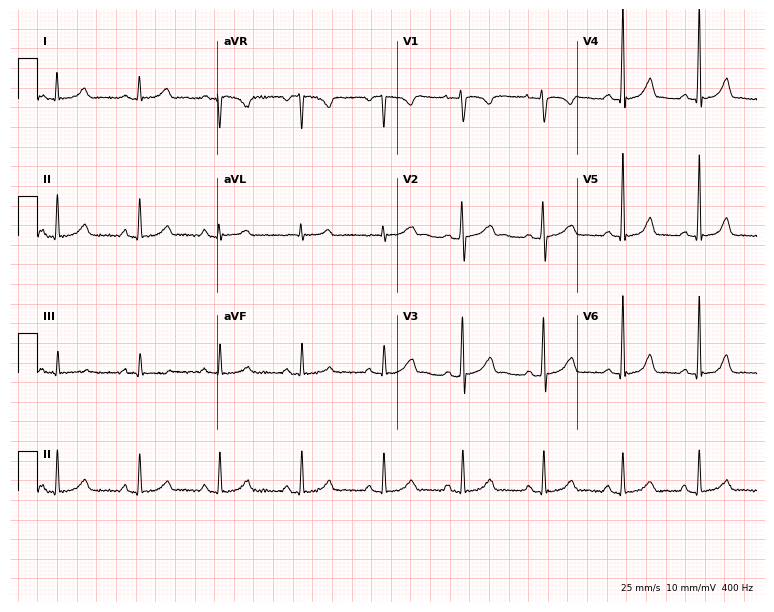
Resting 12-lead electrocardiogram. Patient: a female, 25 years old. Read as a normal ECG.